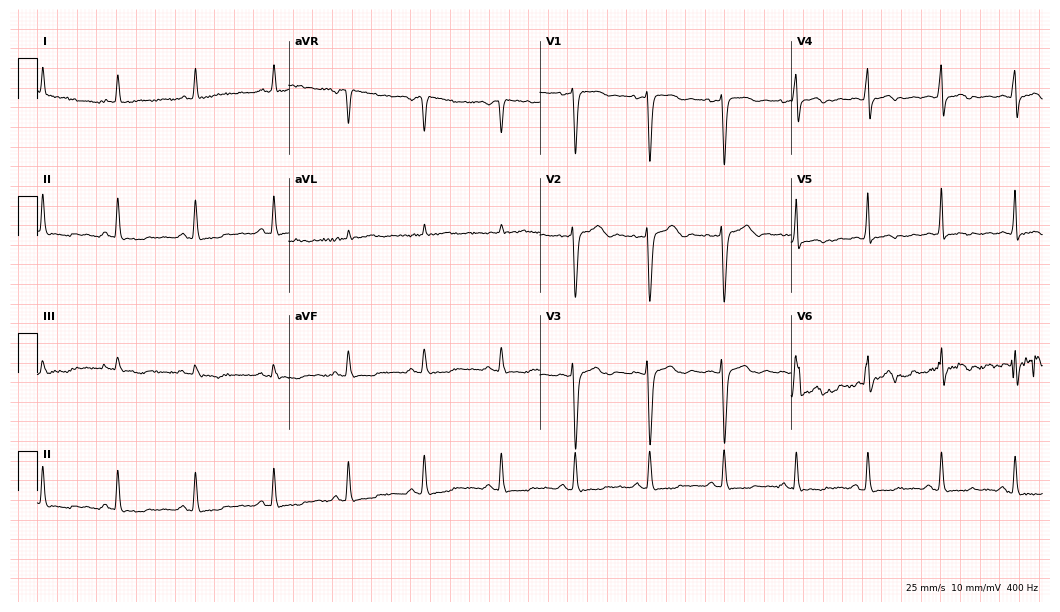
ECG (10.2-second recording at 400 Hz) — a female, 46 years old. Screened for six findings — first-degree AV block, right bundle branch block, left bundle branch block, sinus bradycardia, atrial fibrillation, sinus tachycardia — none is recorded.